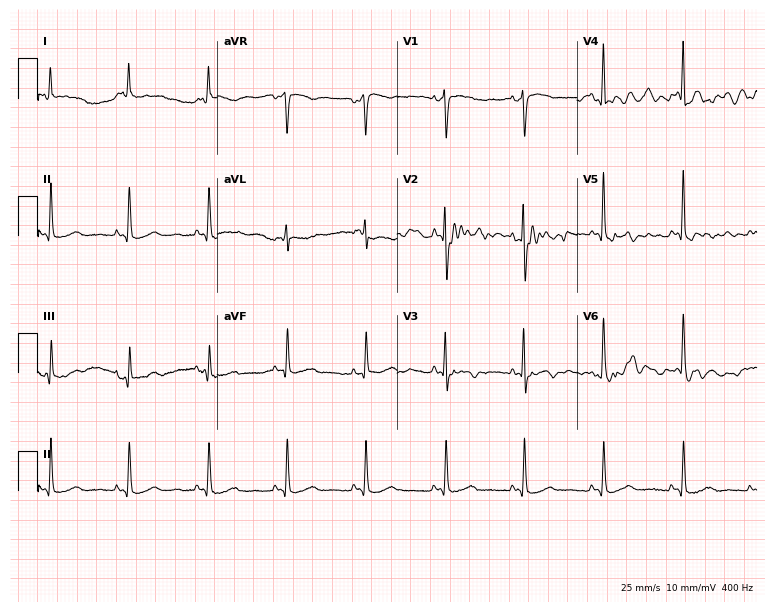
Standard 12-lead ECG recorded from a 65-year-old woman (7.3-second recording at 400 Hz). None of these six findings is recorded: first-degree AV block, right bundle branch block, left bundle branch block, sinus bradycardia, atrial fibrillation, sinus tachycardia.